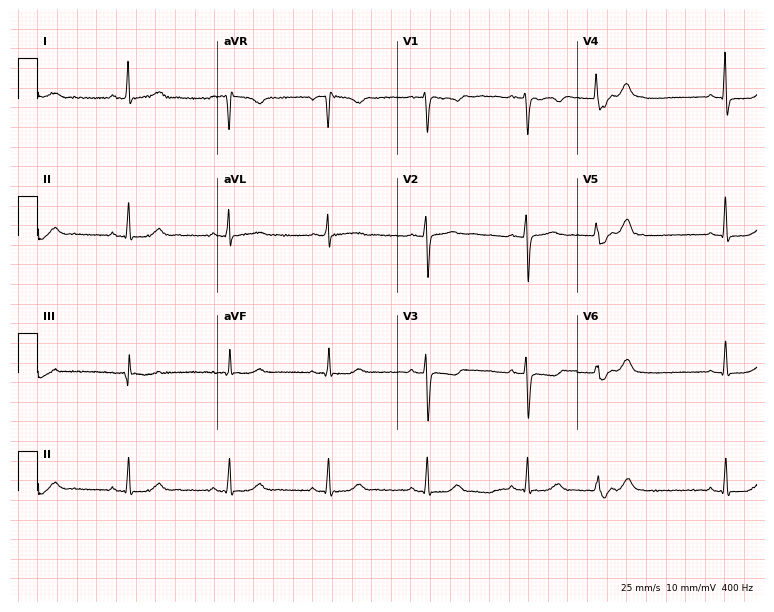
ECG — a male patient, 48 years old. Screened for six findings — first-degree AV block, right bundle branch block (RBBB), left bundle branch block (LBBB), sinus bradycardia, atrial fibrillation (AF), sinus tachycardia — none is recorded.